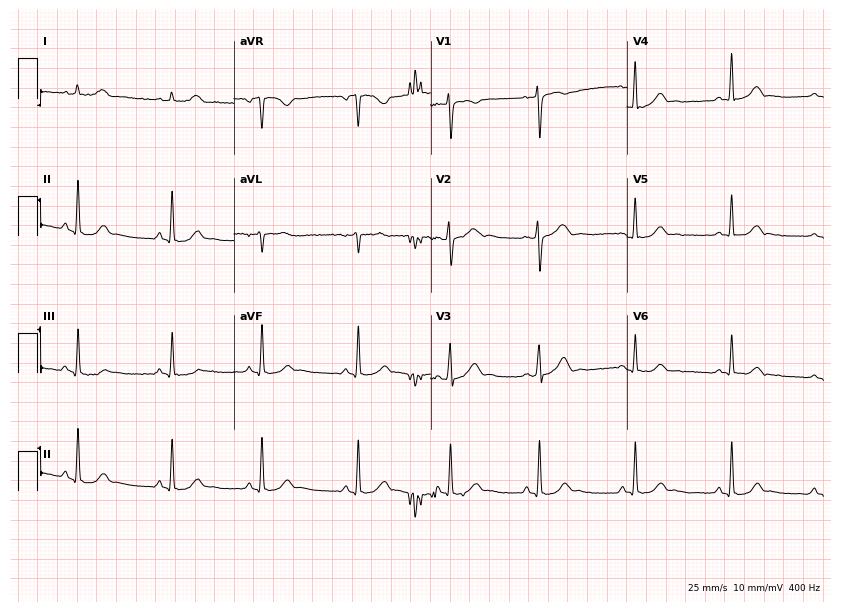
12-lead ECG (8-second recording at 400 Hz) from a female, 21 years old. Screened for six findings — first-degree AV block, right bundle branch block (RBBB), left bundle branch block (LBBB), sinus bradycardia, atrial fibrillation (AF), sinus tachycardia — none is recorded.